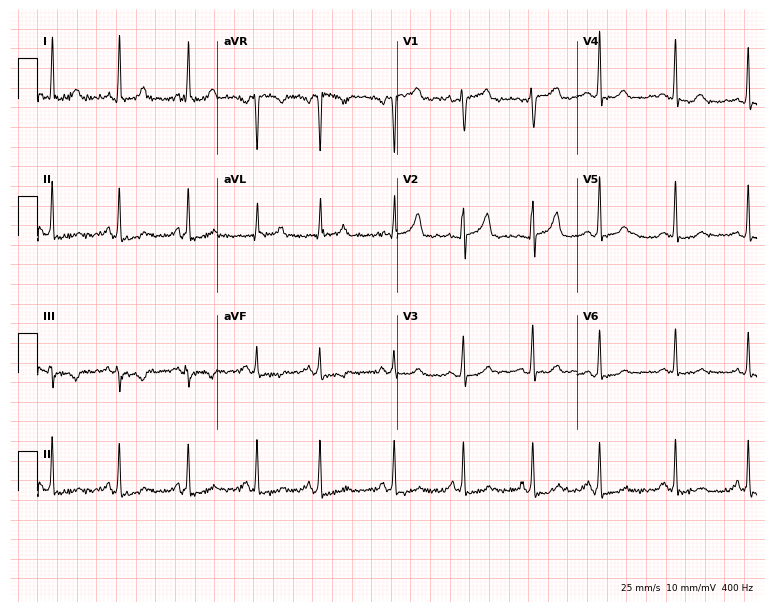
ECG (7.3-second recording at 400 Hz) — a female patient, 31 years old. Labelled as a normal ECG.